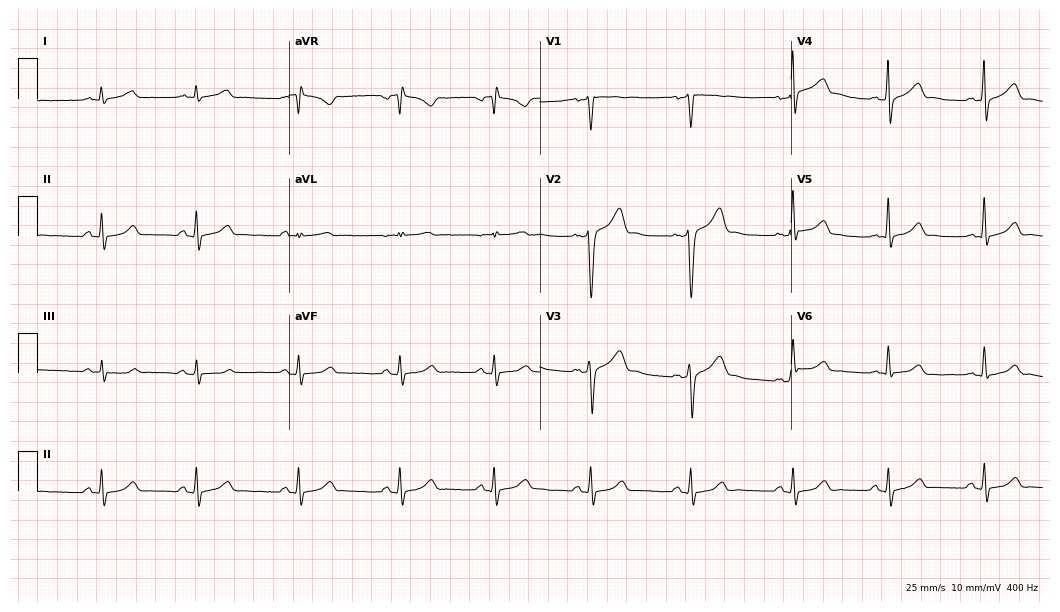
Electrocardiogram, a 56-year-old male. Overall reading on record: normal ECG.